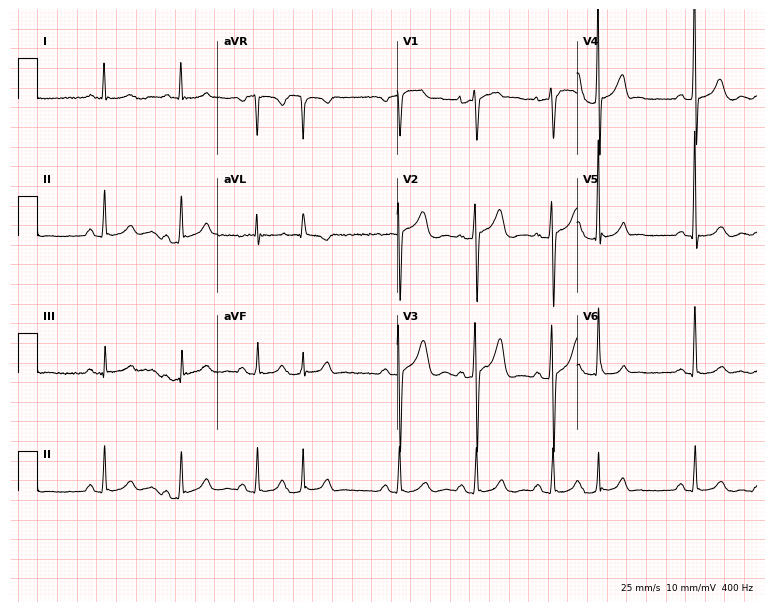
Standard 12-lead ECG recorded from a 78-year-old male patient (7.3-second recording at 400 Hz). None of these six findings is recorded: first-degree AV block, right bundle branch block (RBBB), left bundle branch block (LBBB), sinus bradycardia, atrial fibrillation (AF), sinus tachycardia. Other findings, if any, are not listed.